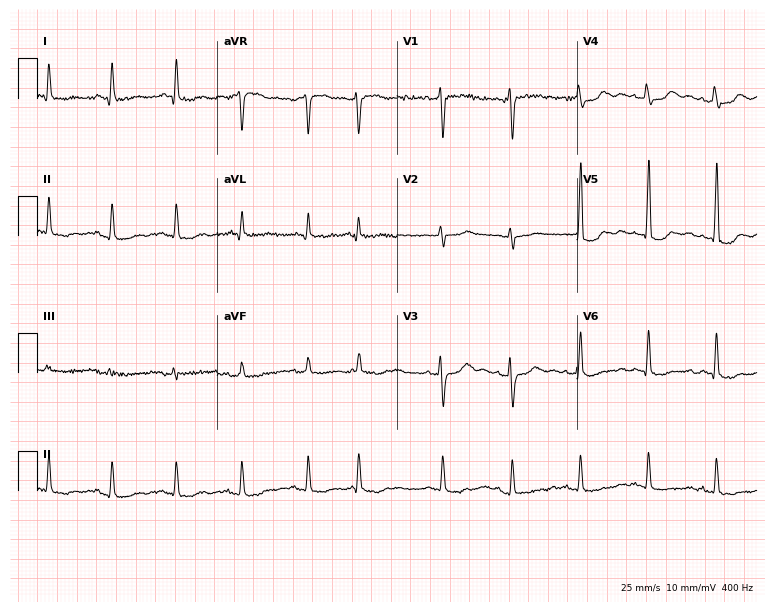
Standard 12-lead ECG recorded from a female patient, 51 years old. None of these six findings is recorded: first-degree AV block, right bundle branch block (RBBB), left bundle branch block (LBBB), sinus bradycardia, atrial fibrillation (AF), sinus tachycardia. Findings outside these six are not listed.